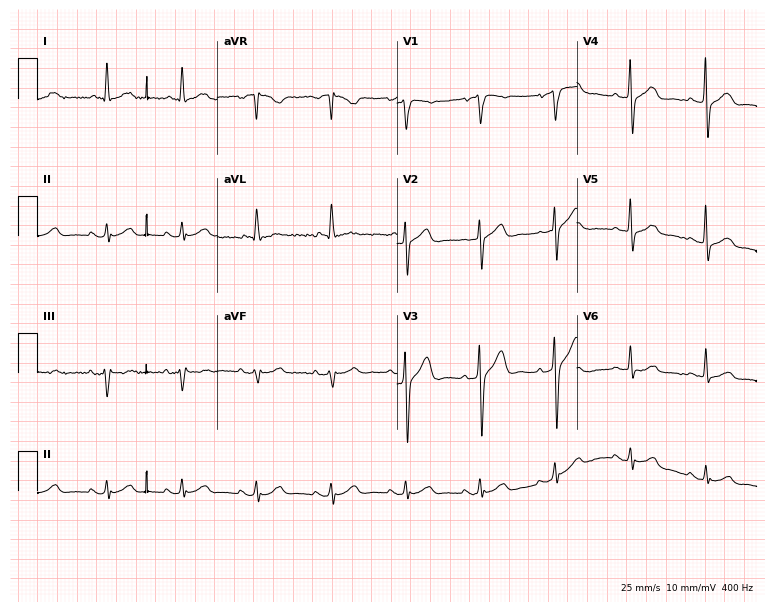
Electrocardiogram (7.3-second recording at 400 Hz), a male, 76 years old. Of the six screened findings (first-degree AV block, right bundle branch block, left bundle branch block, sinus bradycardia, atrial fibrillation, sinus tachycardia), none is recorded. Other findings, if any, are not listed.